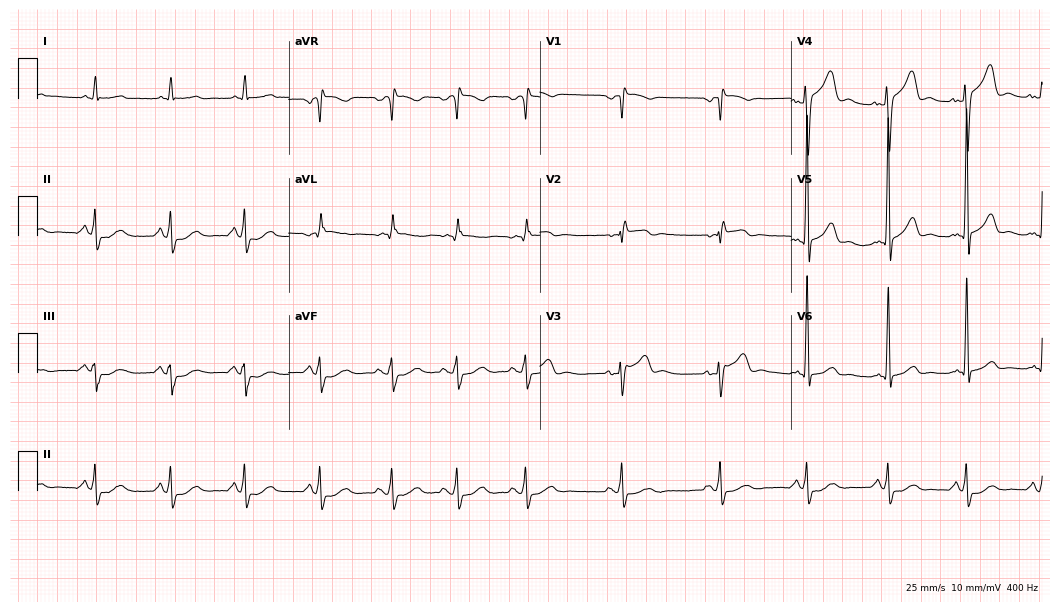
Electrocardiogram, a male patient, 70 years old. Of the six screened findings (first-degree AV block, right bundle branch block, left bundle branch block, sinus bradycardia, atrial fibrillation, sinus tachycardia), none is recorded. Findings outside these six are not listed.